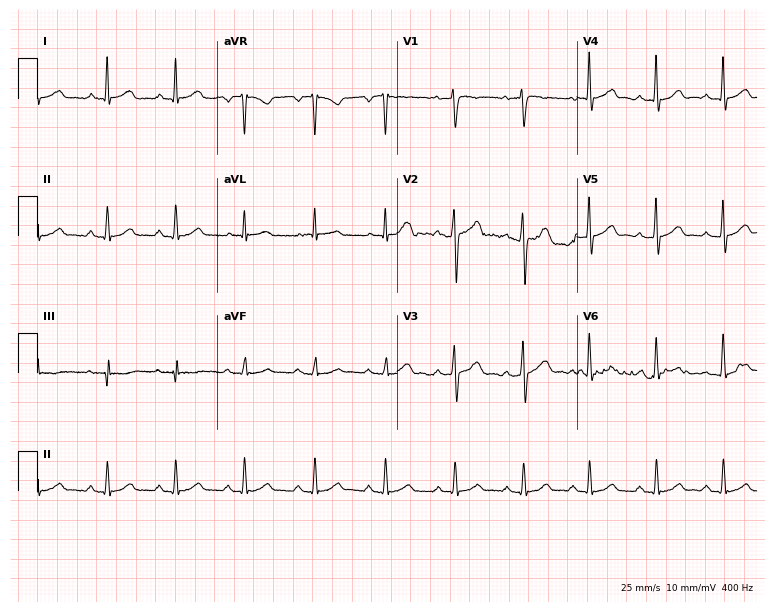
Standard 12-lead ECG recorded from a male, 29 years old (7.3-second recording at 400 Hz). Read as a normal ECG.